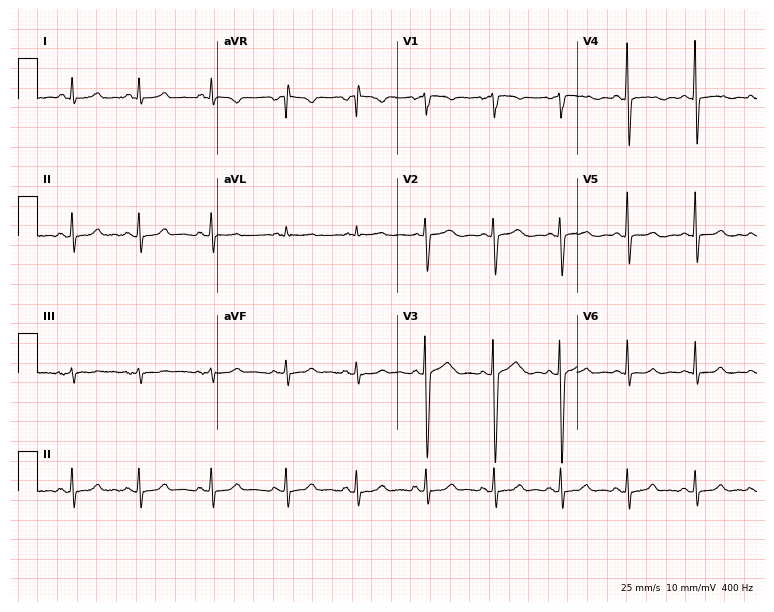
ECG (7.3-second recording at 400 Hz) — a 32-year-old woman. Labelled as a normal ECG.